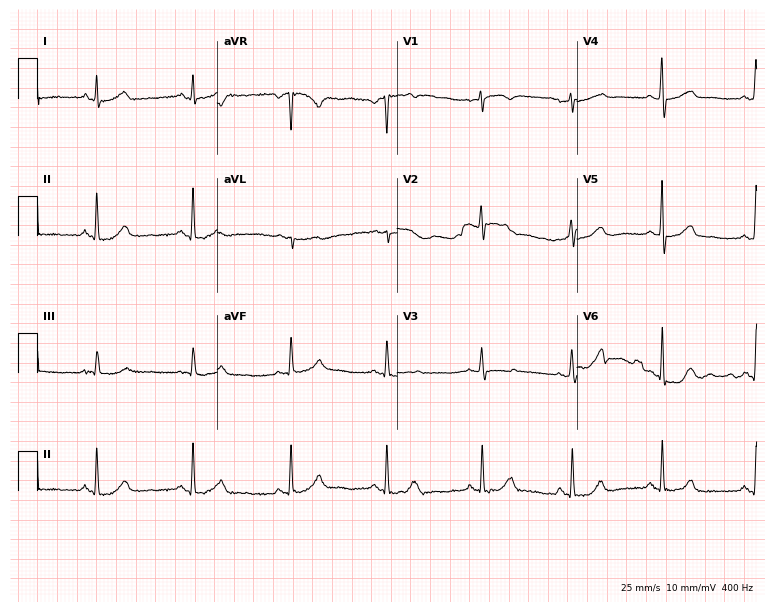
Standard 12-lead ECG recorded from a female patient, 49 years old (7.3-second recording at 400 Hz). Read as a normal ECG.